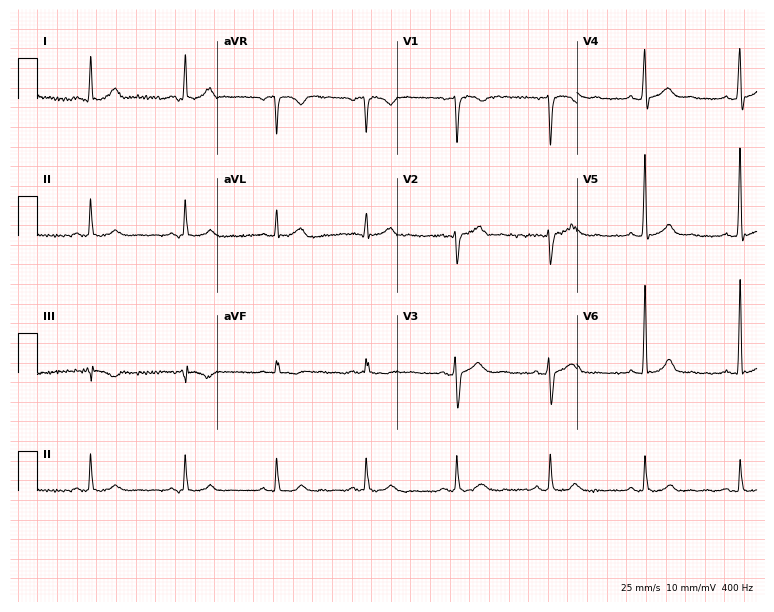
ECG — a male, 42 years old. Screened for six findings — first-degree AV block, right bundle branch block, left bundle branch block, sinus bradycardia, atrial fibrillation, sinus tachycardia — none is recorded.